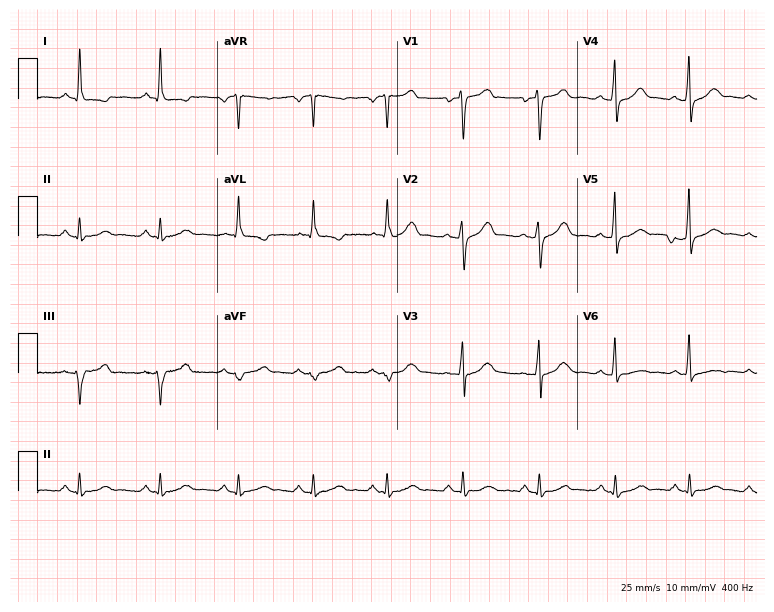
Electrocardiogram, a male, 60 years old. Of the six screened findings (first-degree AV block, right bundle branch block, left bundle branch block, sinus bradycardia, atrial fibrillation, sinus tachycardia), none is recorded.